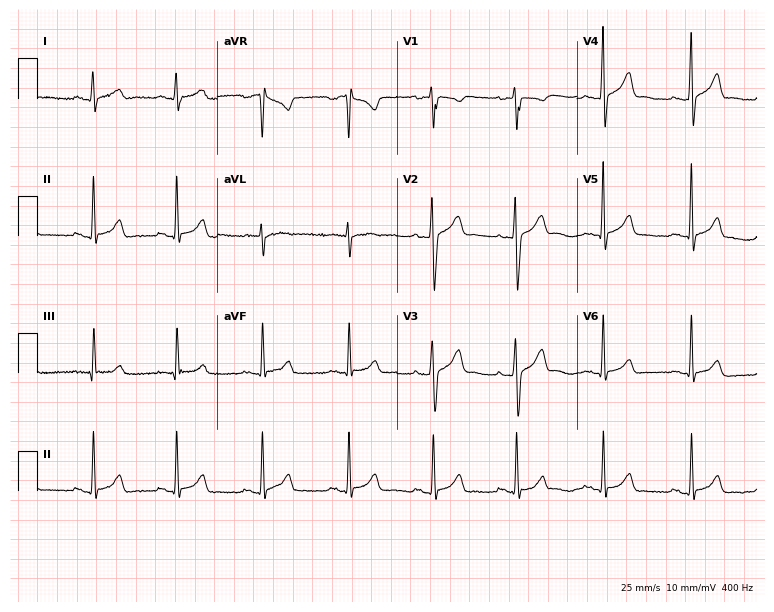
12-lead ECG from a 20-year-old man. Recorded interpretation: within normal limits.